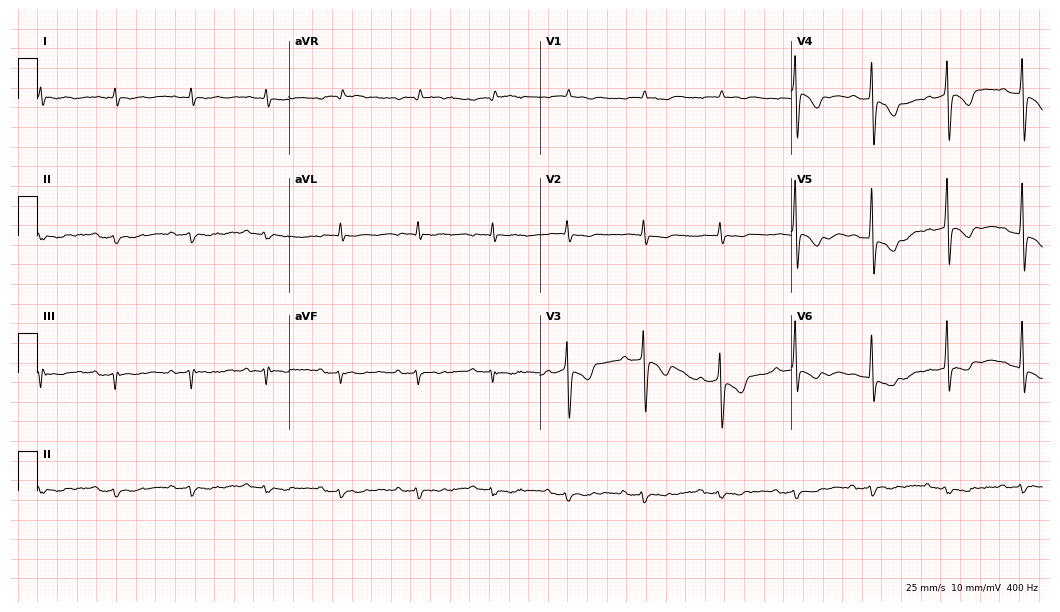
Standard 12-lead ECG recorded from an 82-year-old male. None of these six findings is recorded: first-degree AV block, right bundle branch block, left bundle branch block, sinus bradycardia, atrial fibrillation, sinus tachycardia.